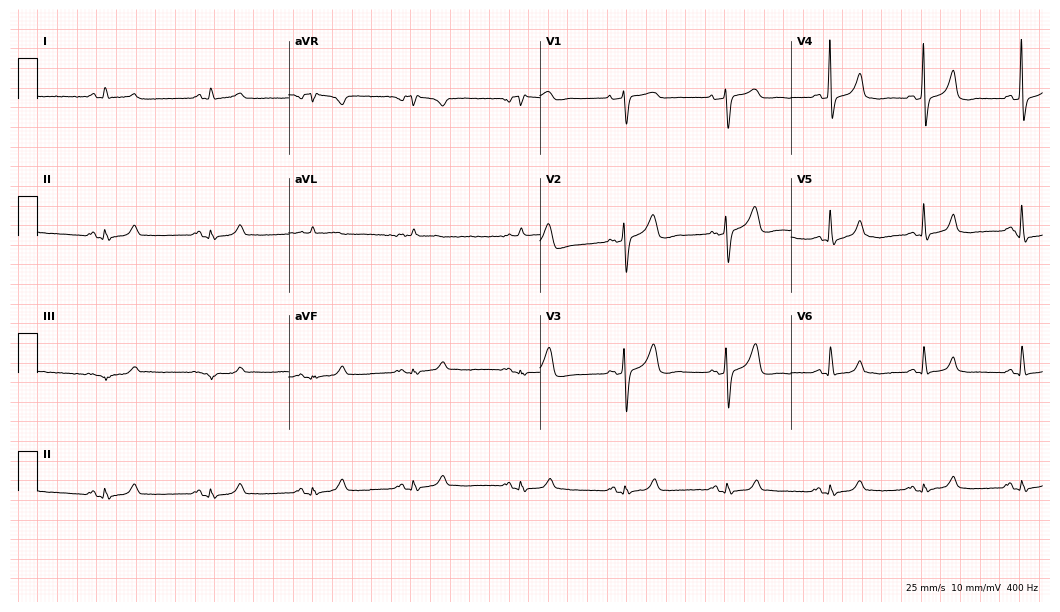
ECG (10.2-second recording at 400 Hz) — a female patient, 79 years old. Screened for six findings — first-degree AV block, right bundle branch block (RBBB), left bundle branch block (LBBB), sinus bradycardia, atrial fibrillation (AF), sinus tachycardia — none is recorded. Only these six findings were labelled.